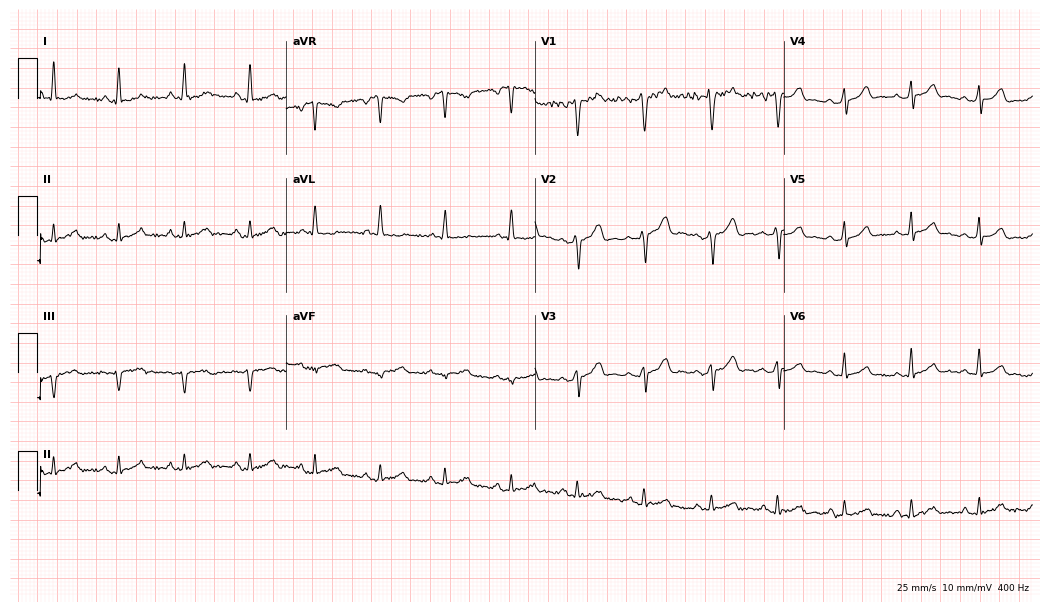
Electrocardiogram (10.1-second recording at 400 Hz), a male patient, 24 years old. Of the six screened findings (first-degree AV block, right bundle branch block, left bundle branch block, sinus bradycardia, atrial fibrillation, sinus tachycardia), none is recorded.